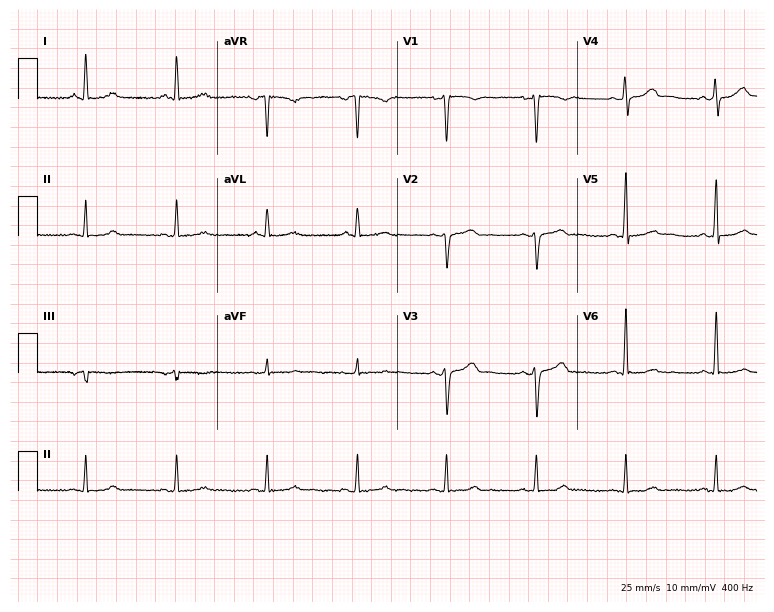
Standard 12-lead ECG recorded from a 51-year-old man. Read as a normal ECG.